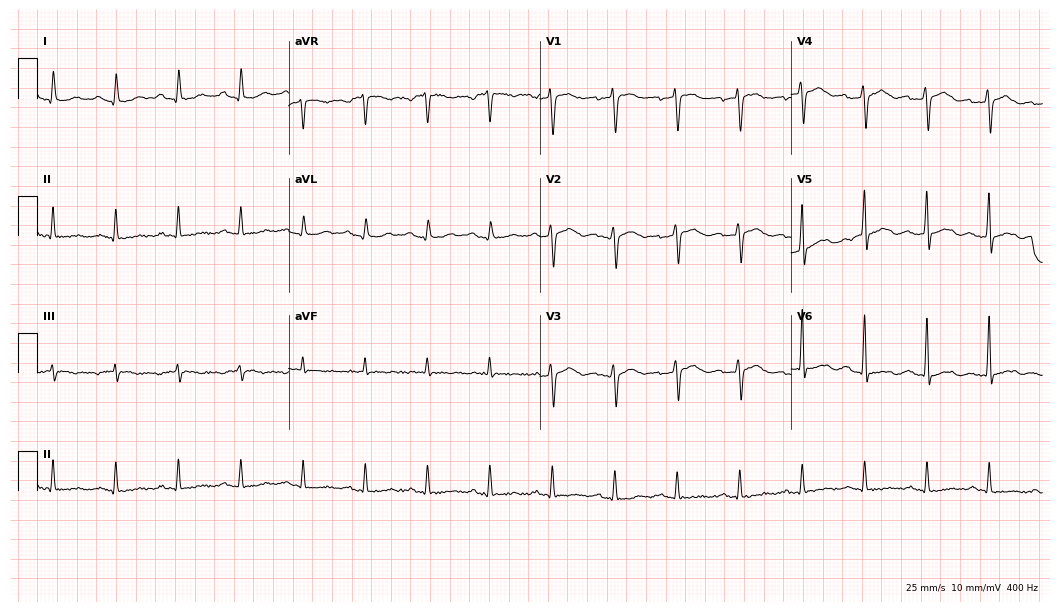
Electrocardiogram (10.2-second recording at 400 Hz), a male patient, 77 years old. Of the six screened findings (first-degree AV block, right bundle branch block (RBBB), left bundle branch block (LBBB), sinus bradycardia, atrial fibrillation (AF), sinus tachycardia), none is recorded.